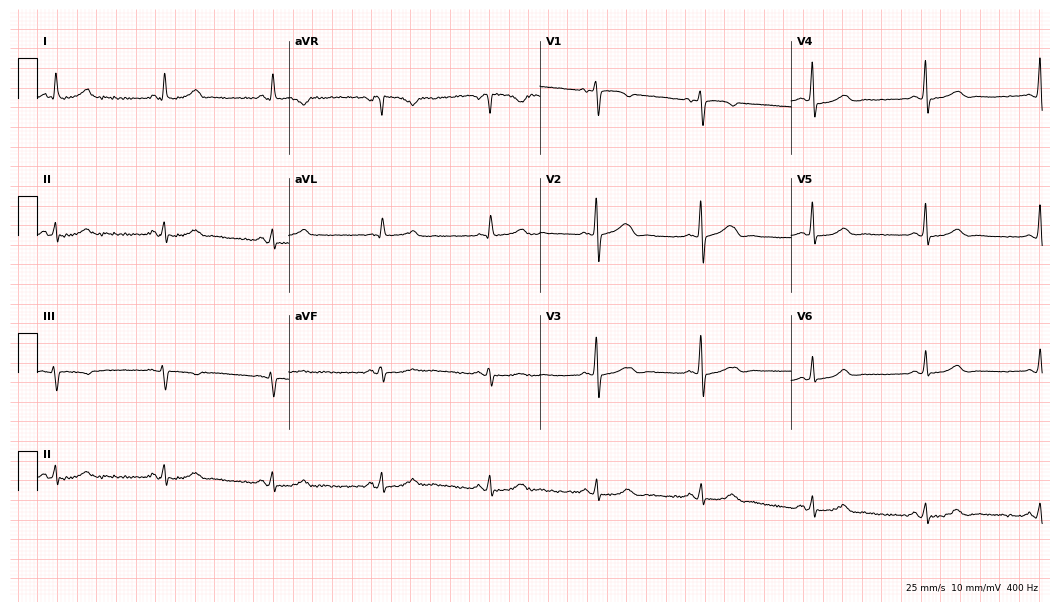
12-lead ECG (10.2-second recording at 400 Hz) from a 68-year-old female patient. Labelled as a normal ECG.